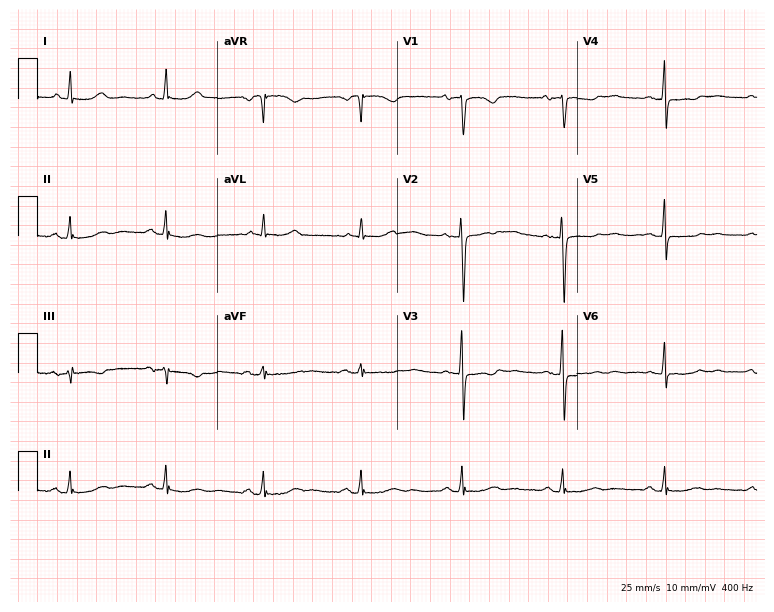
Standard 12-lead ECG recorded from a female patient, 56 years old. None of these six findings is recorded: first-degree AV block, right bundle branch block, left bundle branch block, sinus bradycardia, atrial fibrillation, sinus tachycardia. Other findings, if any, are not listed.